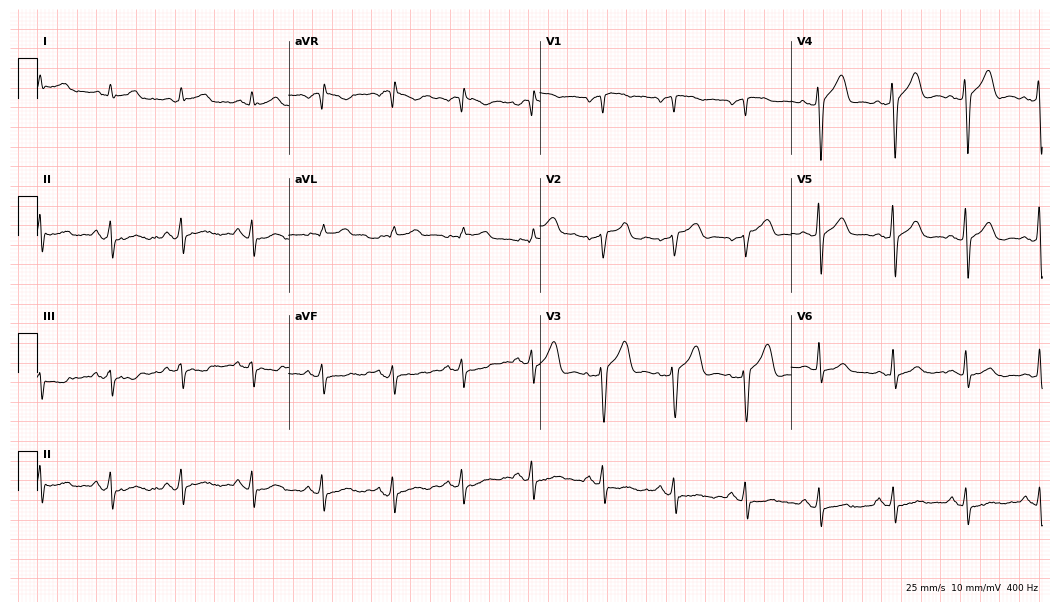
Resting 12-lead electrocardiogram (10.2-second recording at 400 Hz). Patient: a 59-year-old man. None of these six findings is recorded: first-degree AV block, right bundle branch block (RBBB), left bundle branch block (LBBB), sinus bradycardia, atrial fibrillation (AF), sinus tachycardia.